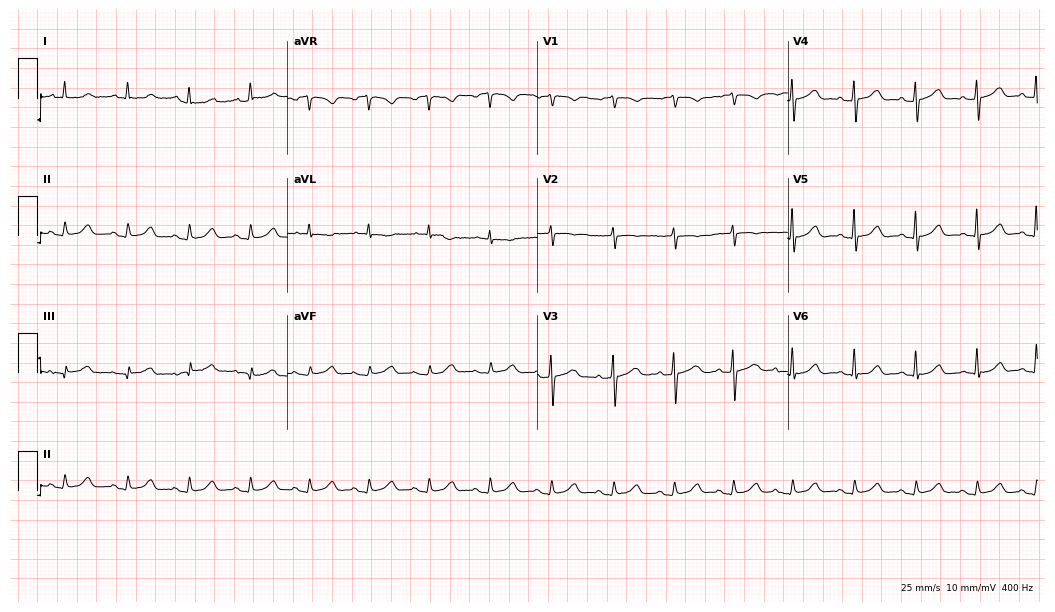
12-lead ECG from a female patient, 83 years old (10.2-second recording at 400 Hz). Recorded interpretation: within normal limits.